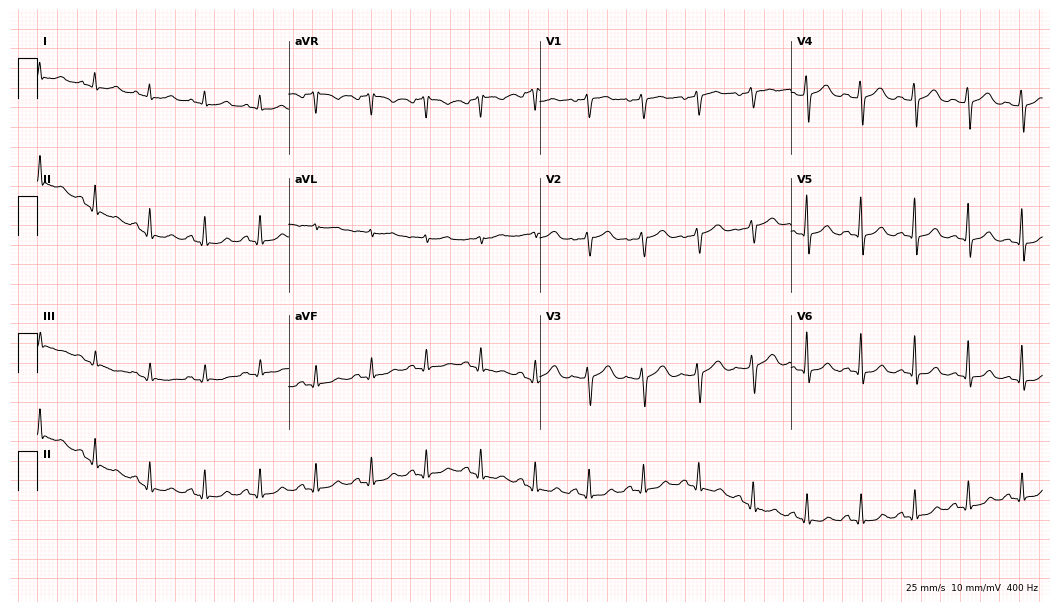
ECG — a 58-year-old female. Findings include sinus tachycardia (a sinus rate of 100 beats per minute or more).